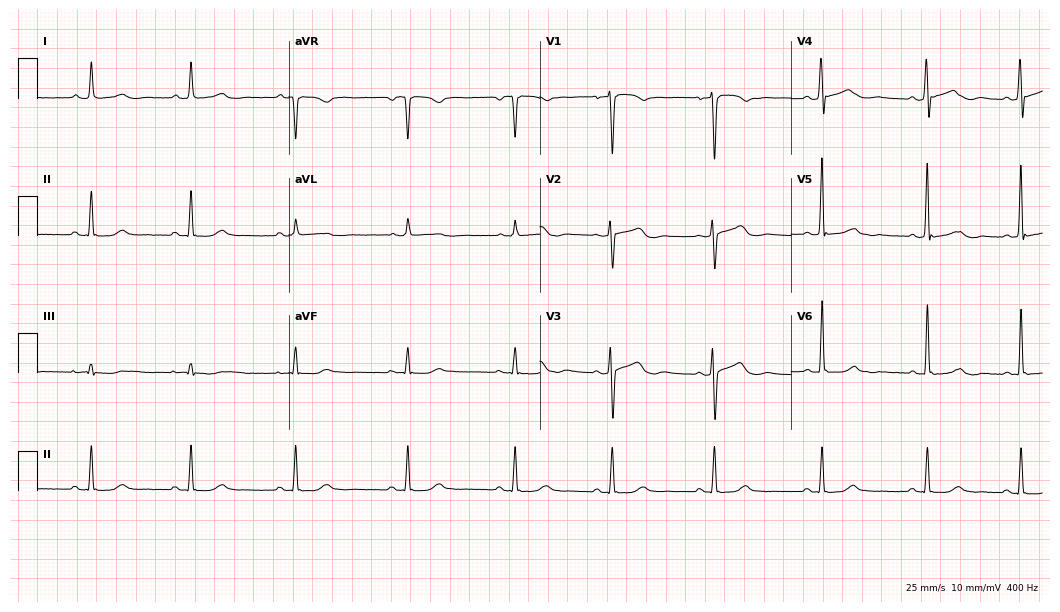
Resting 12-lead electrocardiogram (10.2-second recording at 400 Hz). Patient: a female, 51 years old. None of these six findings is recorded: first-degree AV block, right bundle branch block, left bundle branch block, sinus bradycardia, atrial fibrillation, sinus tachycardia. Findings outside these six are not listed.